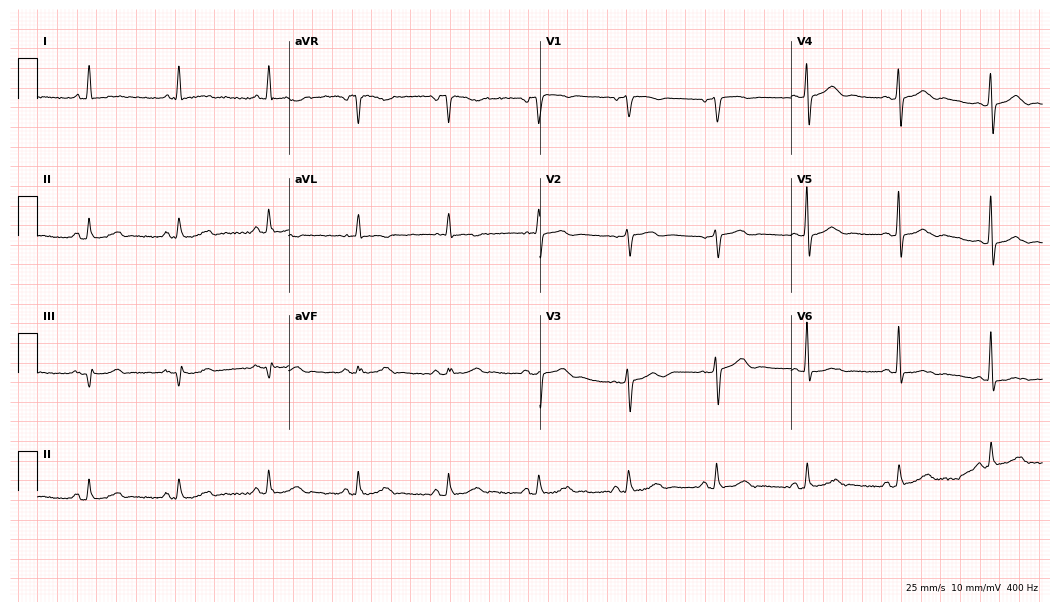
Standard 12-lead ECG recorded from a 67-year-old female. Read as a normal ECG.